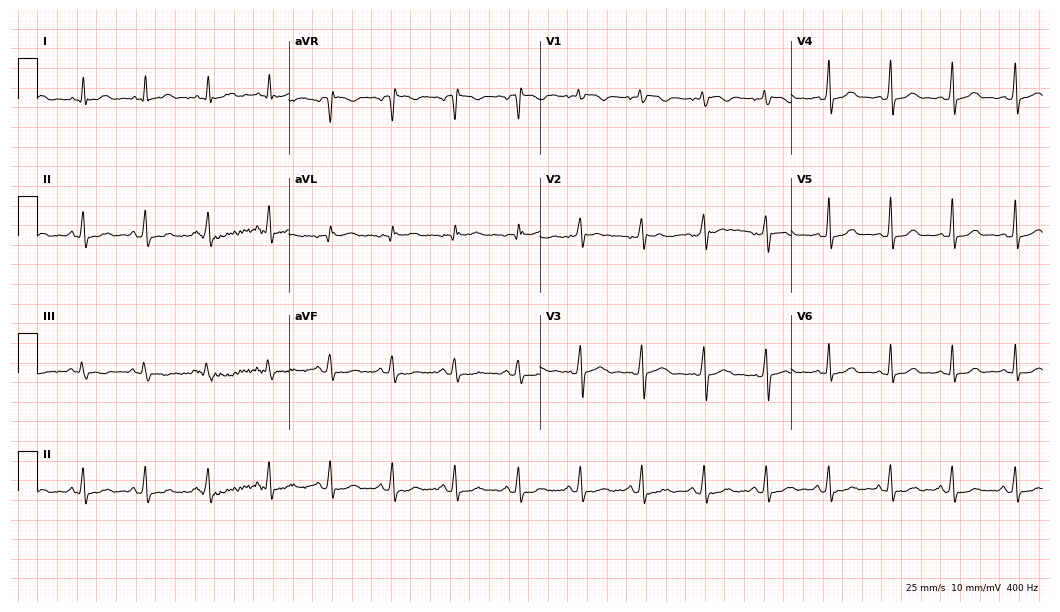
Resting 12-lead electrocardiogram. Patient: a woman, 35 years old. None of these six findings is recorded: first-degree AV block, right bundle branch block, left bundle branch block, sinus bradycardia, atrial fibrillation, sinus tachycardia. Other findings, if any, are not listed.